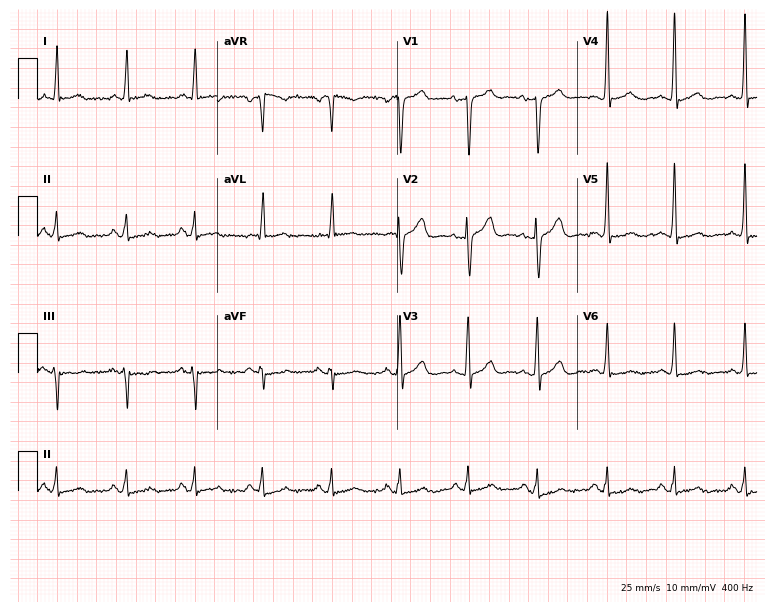
ECG — a male patient, 61 years old. Screened for six findings — first-degree AV block, right bundle branch block, left bundle branch block, sinus bradycardia, atrial fibrillation, sinus tachycardia — none is recorded.